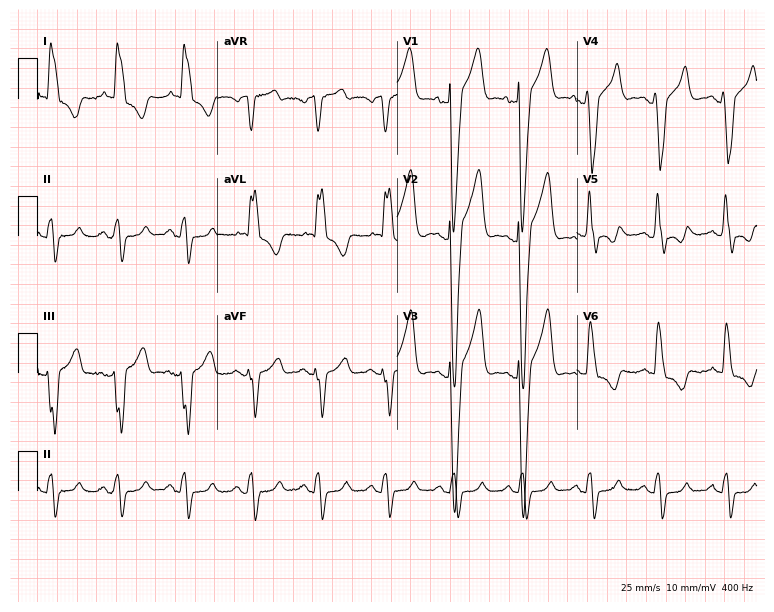
12-lead ECG from a 75-year-old male (7.3-second recording at 400 Hz). Shows left bundle branch block (LBBB).